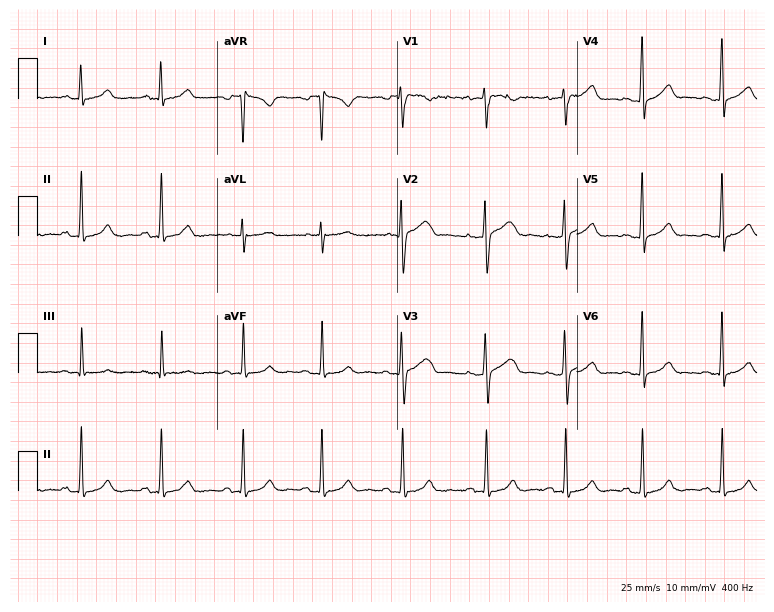
Resting 12-lead electrocardiogram. Patient: a 25-year-old female. Read as a normal ECG.